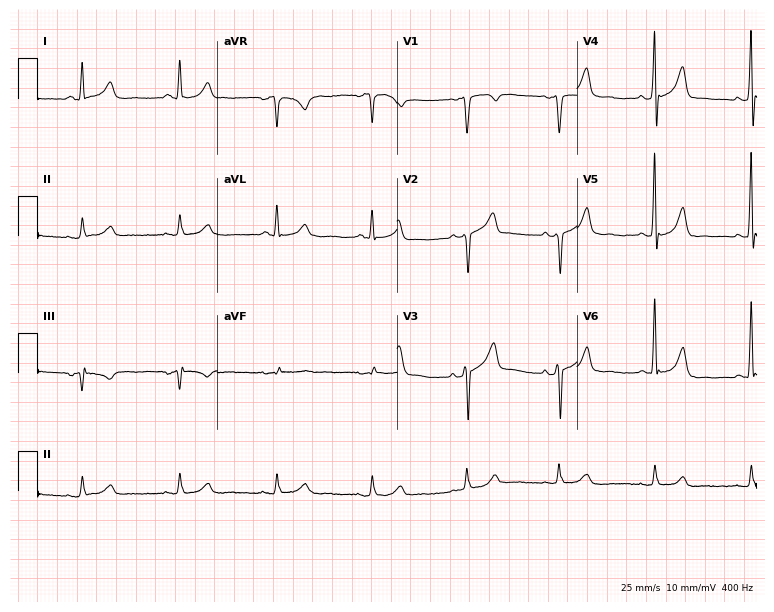
ECG — a 61-year-old male patient. Screened for six findings — first-degree AV block, right bundle branch block (RBBB), left bundle branch block (LBBB), sinus bradycardia, atrial fibrillation (AF), sinus tachycardia — none is recorded. Only these six findings were labelled.